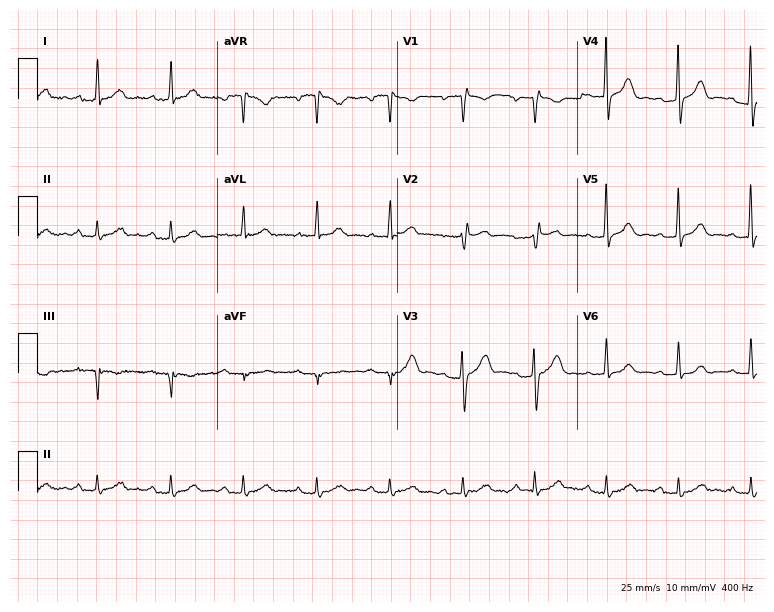
Standard 12-lead ECG recorded from a 68-year-old male. None of these six findings is recorded: first-degree AV block, right bundle branch block, left bundle branch block, sinus bradycardia, atrial fibrillation, sinus tachycardia. Other findings, if any, are not listed.